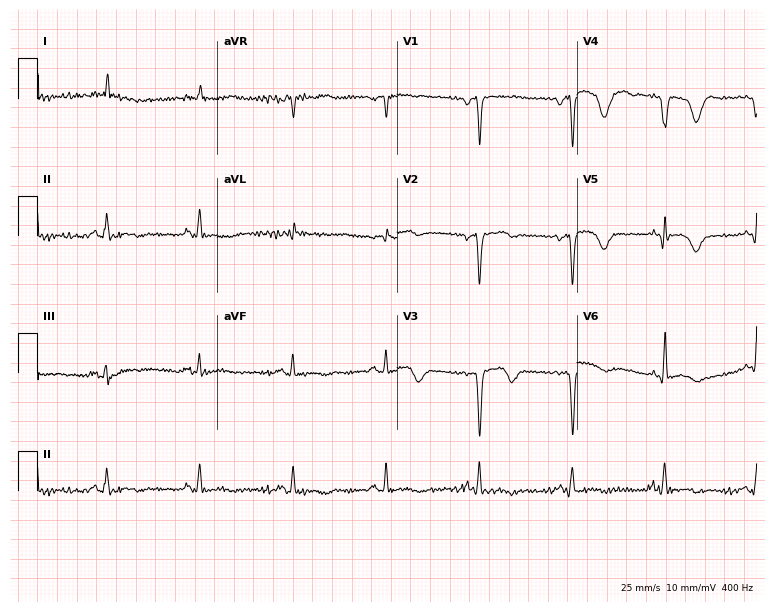
12-lead ECG (7.3-second recording at 400 Hz) from a 77-year-old man. Screened for six findings — first-degree AV block, right bundle branch block, left bundle branch block, sinus bradycardia, atrial fibrillation, sinus tachycardia — none is recorded. Only these six findings were labelled.